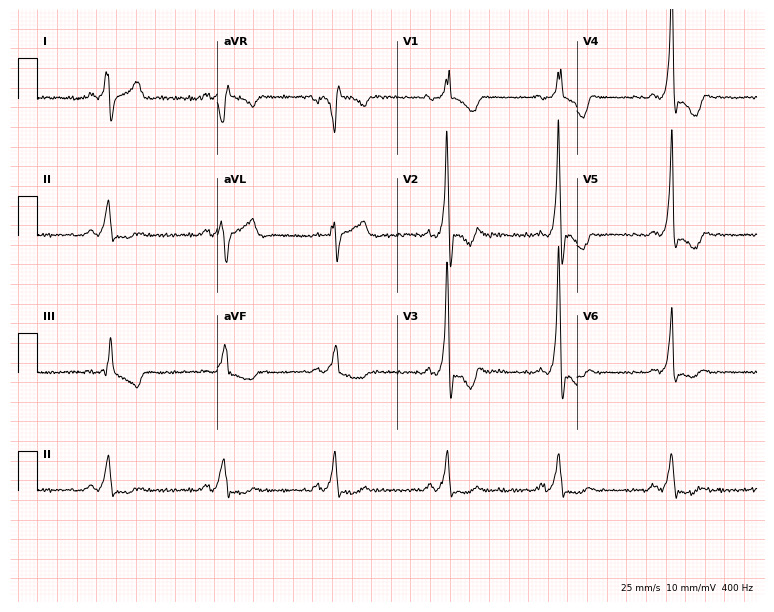
Resting 12-lead electrocardiogram (7.3-second recording at 400 Hz). Patient: a male, 46 years old. None of these six findings is recorded: first-degree AV block, right bundle branch block (RBBB), left bundle branch block (LBBB), sinus bradycardia, atrial fibrillation (AF), sinus tachycardia. Other findings, if any, are not listed.